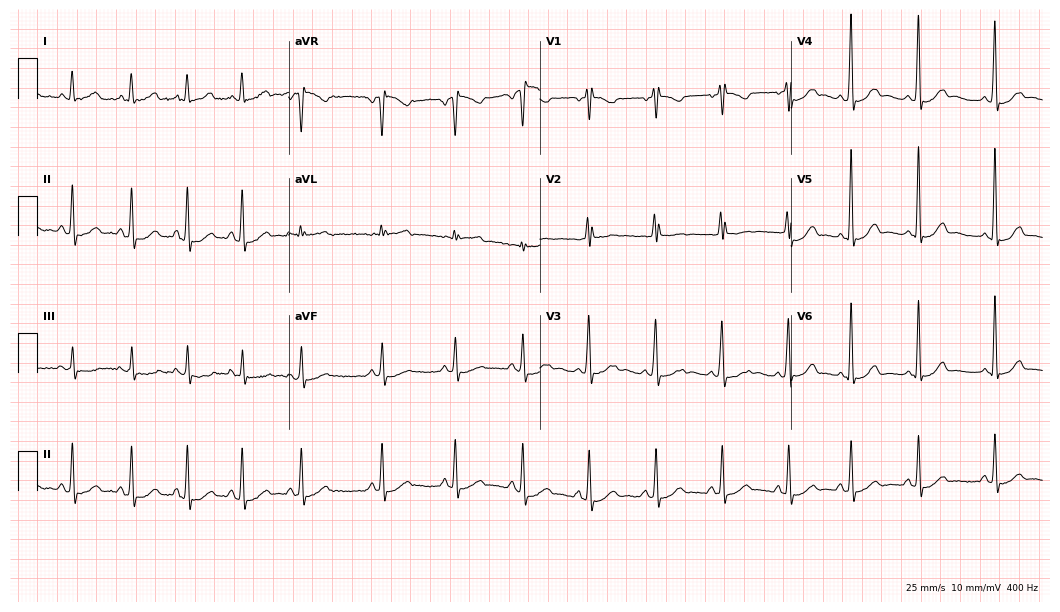
12-lead ECG from a 36-year-old female patient (10.2-second recording at 400 Hz). No first-degree AV block, right bundle branch block, left bundle branch block, sinus bradycardia, atrial fibrillation or sinus tachycardia recorded for this tracing. Findings outside these six are not listed.